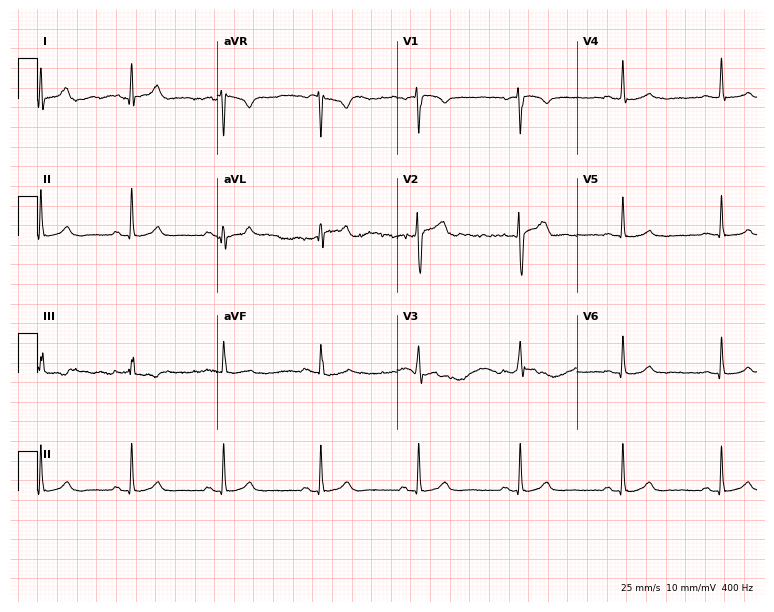
12-lead ECG from a 17-year-old male (7.3-second recording at 400 Hz). No first-degree AV block, right bundle branch block (RBBB), left bundle branch block (LBBB), sinus bradycardia, atrial fibrillation (AF) or sinus tachycardia recorded for this tracing.